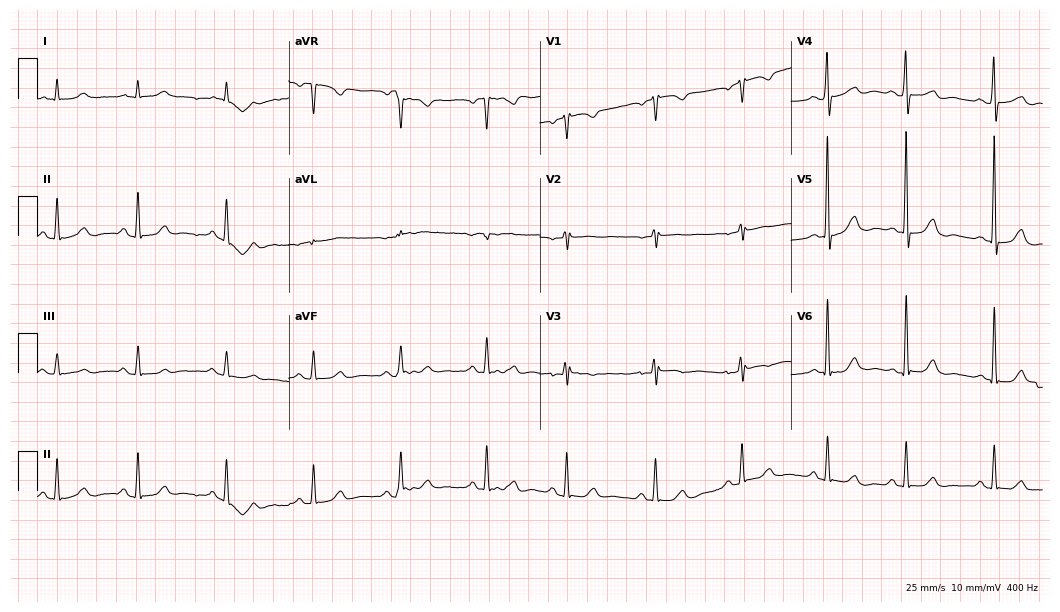
Resting 12-lead electrocardiogram (10.2-second recording at 400 Hz). Patient: a female, 69 years old. None of these six findings is recorded: first-degree AV block, right bundle branch block, left bundle branch block, sinus bradycardia, atrial fibrillation, sinus tachycardia.